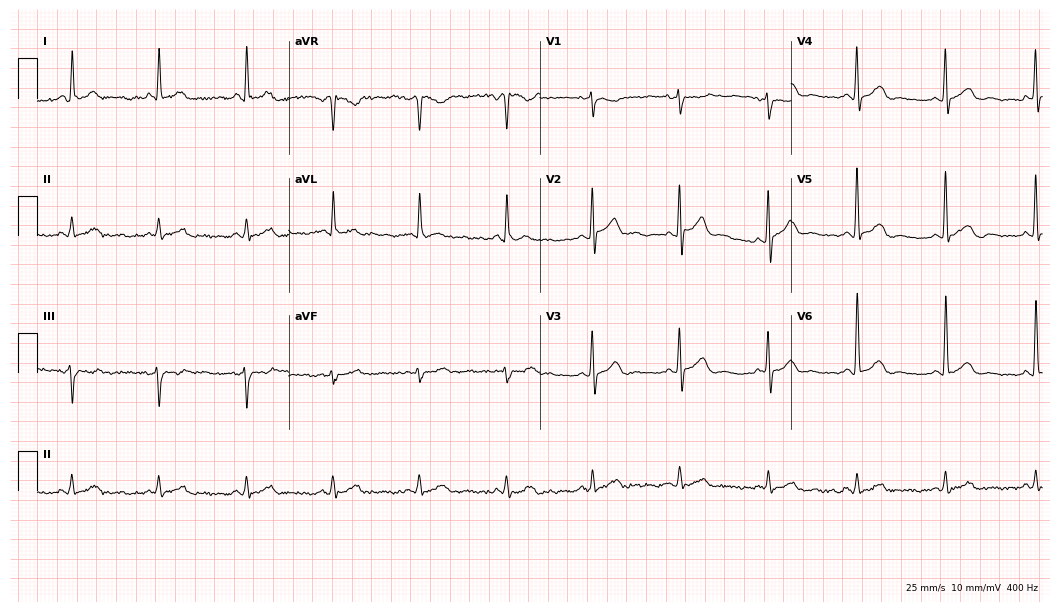
ECG — a 60-year-old man. Labelled as a normal ECG.